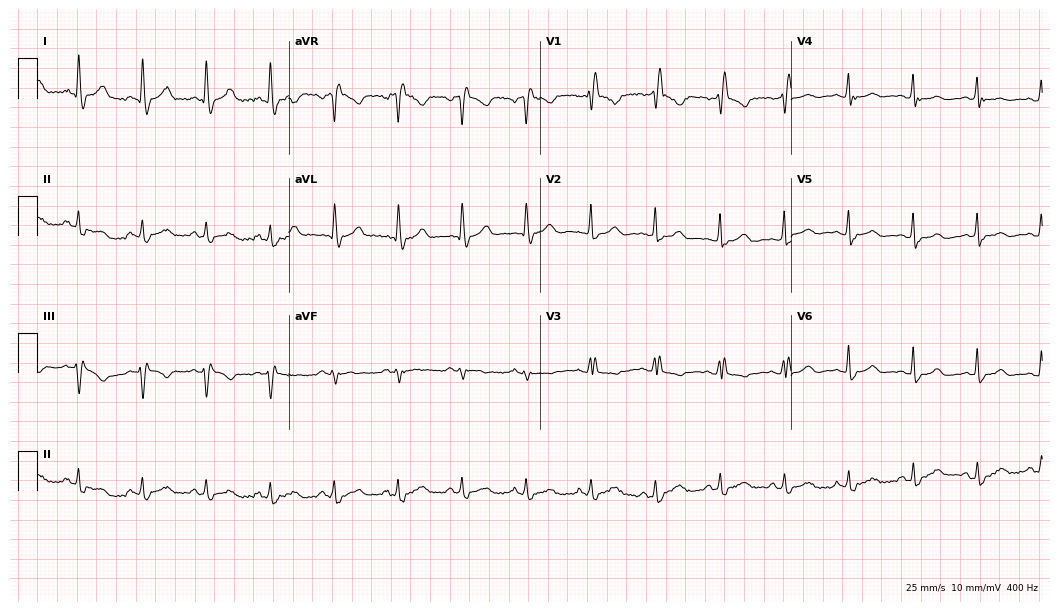
Resting 12-lead electrocardiogram. Patient: a 55-year-old male. The tracing shows right bundle branch block (RBBB).